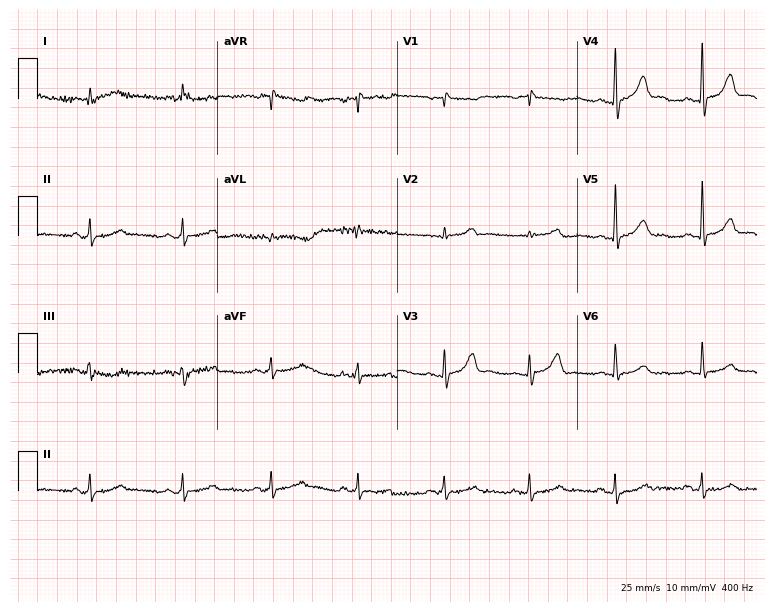
Electrocardiogram, an 85-year-old male patient. Overall reading on record: normal ECG.